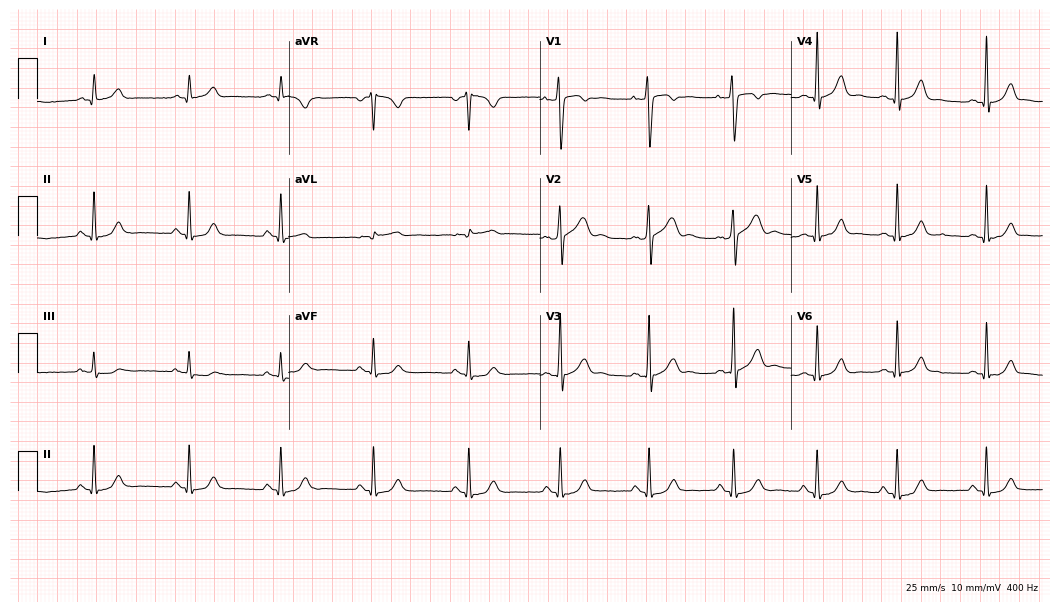
Standard 12-lead ECG recorded from a 29-year-old male. Read as a normal ECG.